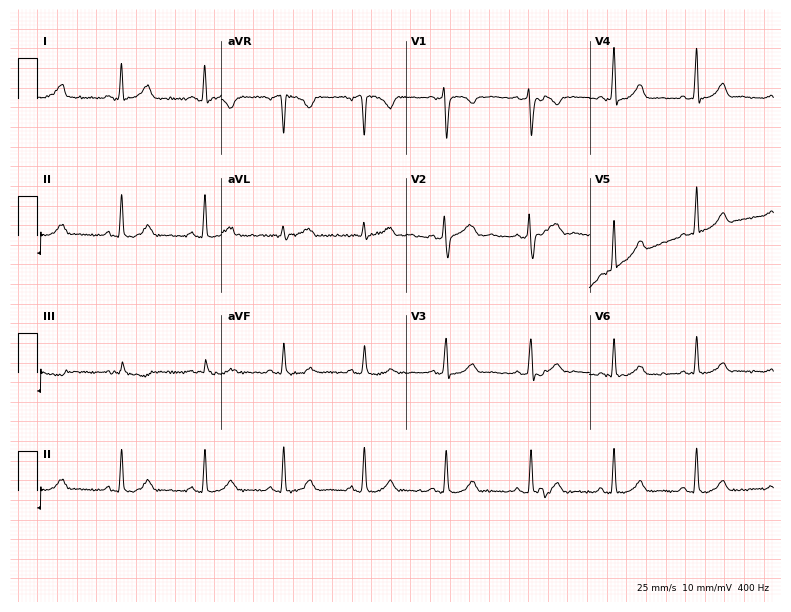
12-lead ECG (7.5-second recording at 400 Hz) from a female, 35 years old. Labelled as a normal ECG.